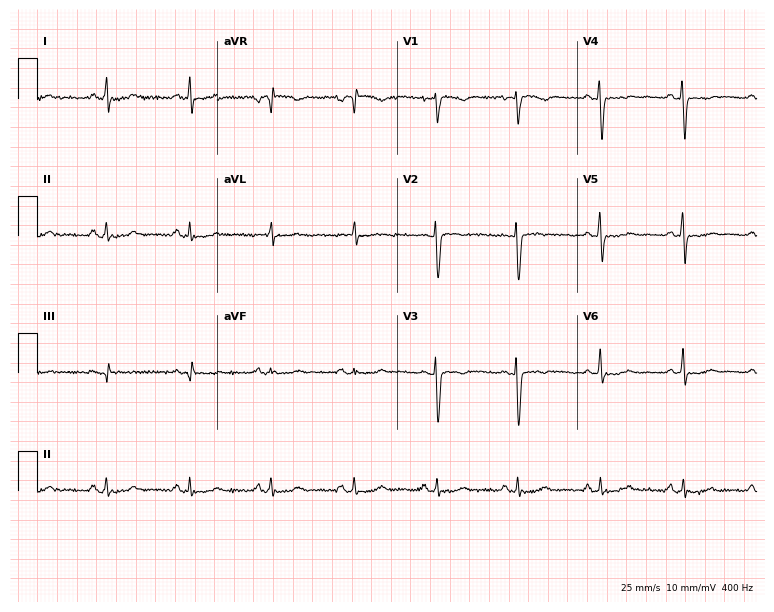
ECG (7.3-second recording at 400 Hz) — a 41-year-old woman. Screened for six findings — first-degree AV block, right bundle branch block, left bundle branch block, sinus bradycardia, atrial fibrillation, sinus tachycardia — none is recorded. Findings outside these six are not listed.